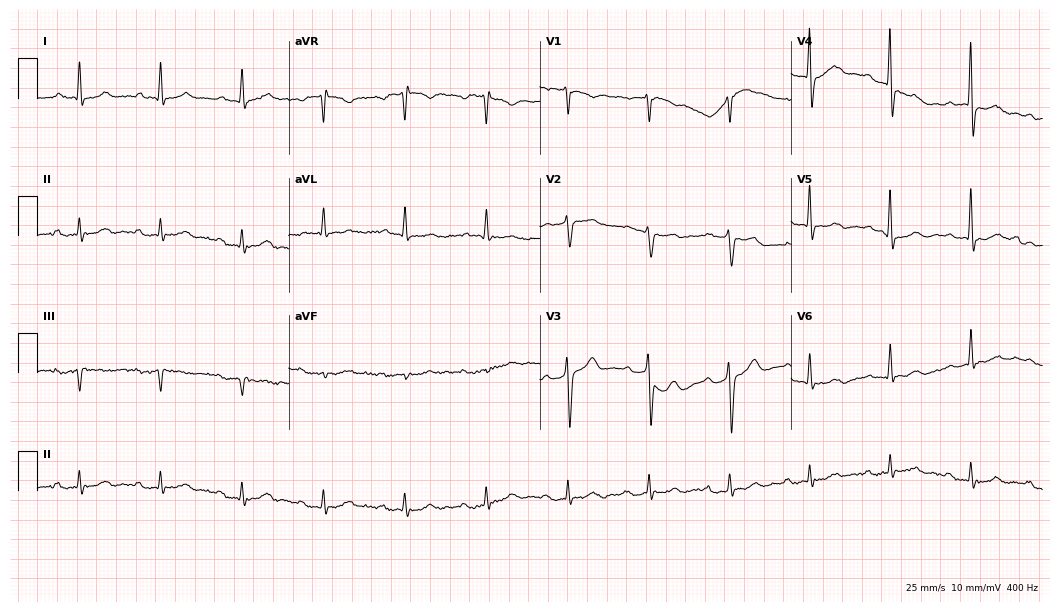
Electrocardiogram, a male patient, 80 years old. Of the six screened findings (first-degree AV block, right bundle branch block, left bundle branch block, sinus bradycardia, atrial fibrillation, sinus tachycardia), none is recorded.